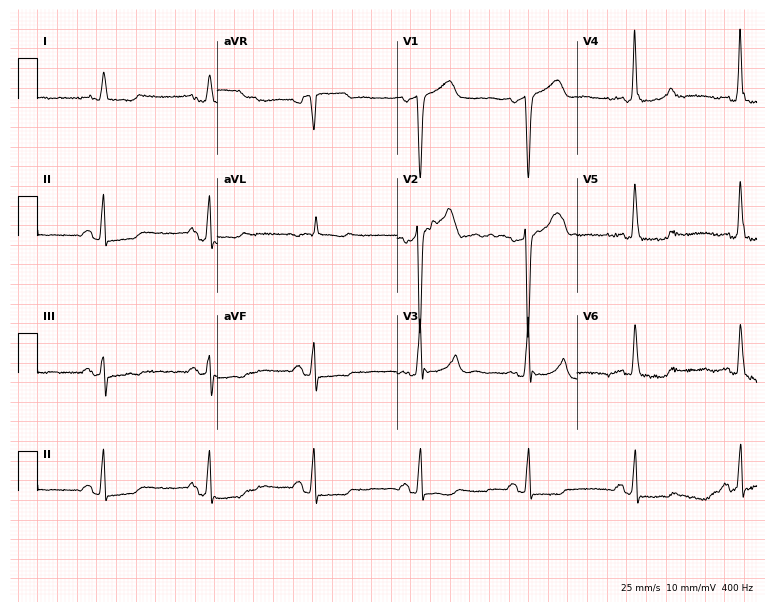
ECG — a 76-year-old male. Screened for six findings — first-degree AV block, right bundle branch block, left bundle branch block, sinus bradycardia, atrial fibrillation, sinus tachycardia — none is recorded.